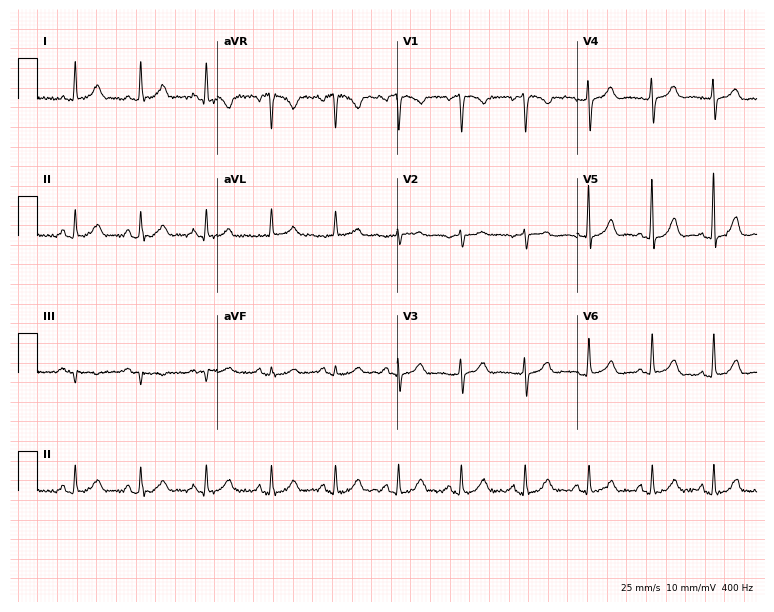
ECG — a woman, 50 years old. Labelled as a normal ECG.